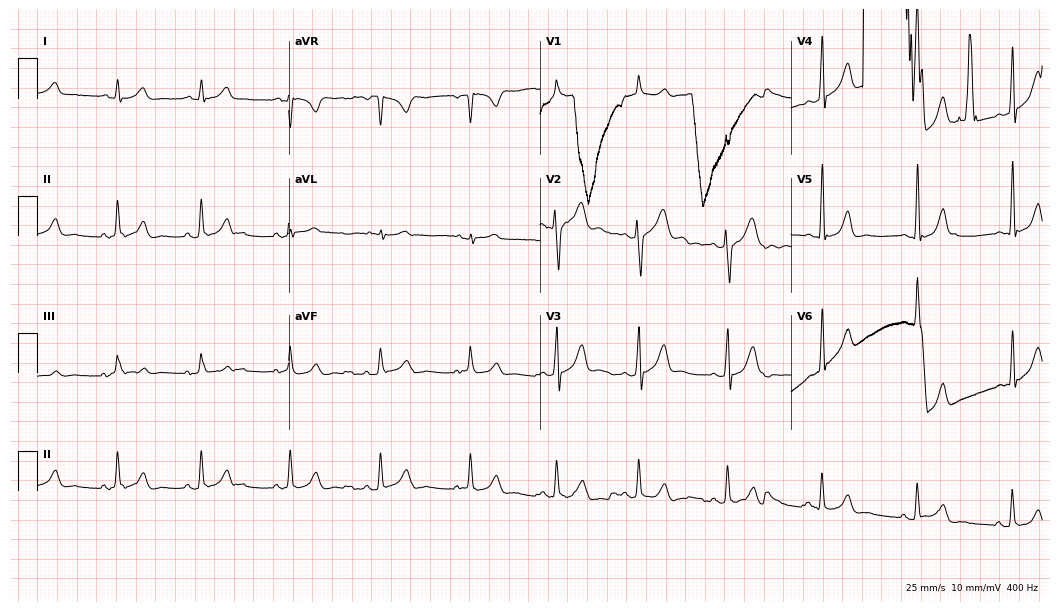
12-lead ECG (10.2-second recording at 400 Hz) from a 25-year-old male. Screened for six findings — first-degree AV block, right bundle branch block, left bundle branch block, sinus bradycardia, atrial fibrillation, sinus tachycardia — none is recorded.